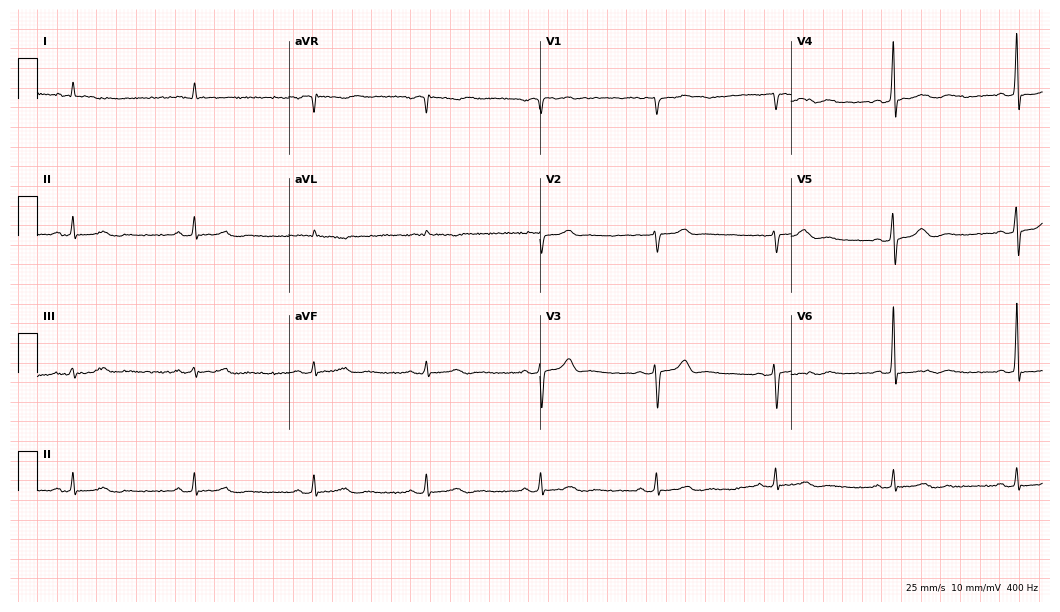
Resting 12-lead electrocardiogram. Patient: a male, 63 years old. None of these six findings is recorded: first-degree AV block, right bundle branch block (RBBB), left bundle branch block (LBBB), sinus bradycardia, atrial fibrillation (AF), sinus tachycardia.